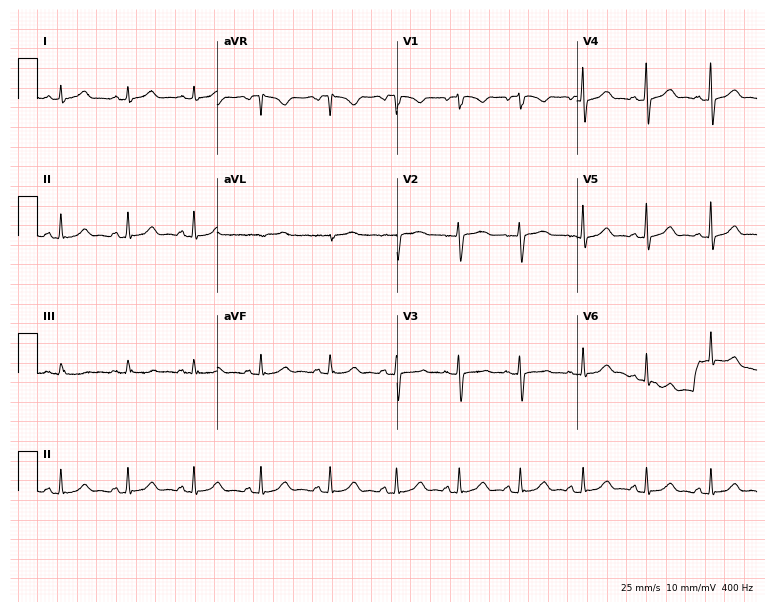
Resting 12-lead electrocardiogram (7.3-second recording at 400 Hz). Patient: a female, 24 years old. Read as a normal ECG.